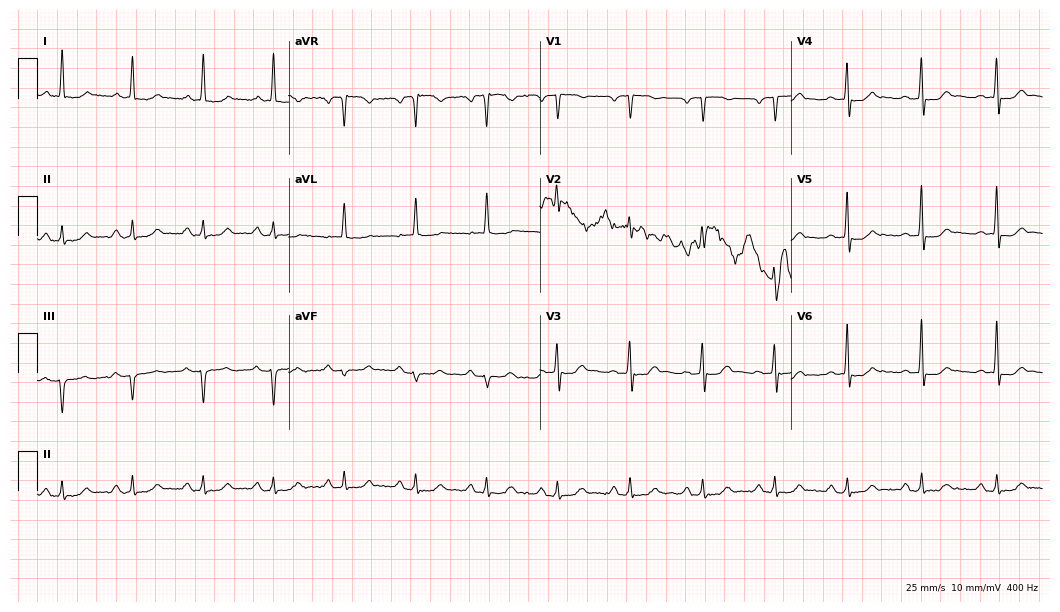
ECG (10.2-second recording at 400 Hz) — a 72-year-old man. Labelled as a normal ECG.